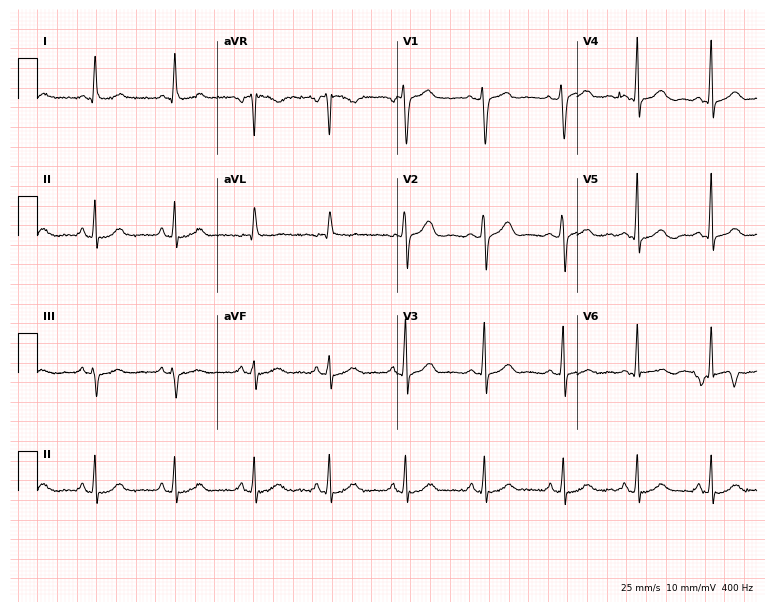
12-lead ECG (7.3-second recording at 400 Hz) from a 52-year-old female patient. Labelled as a normal ECG.